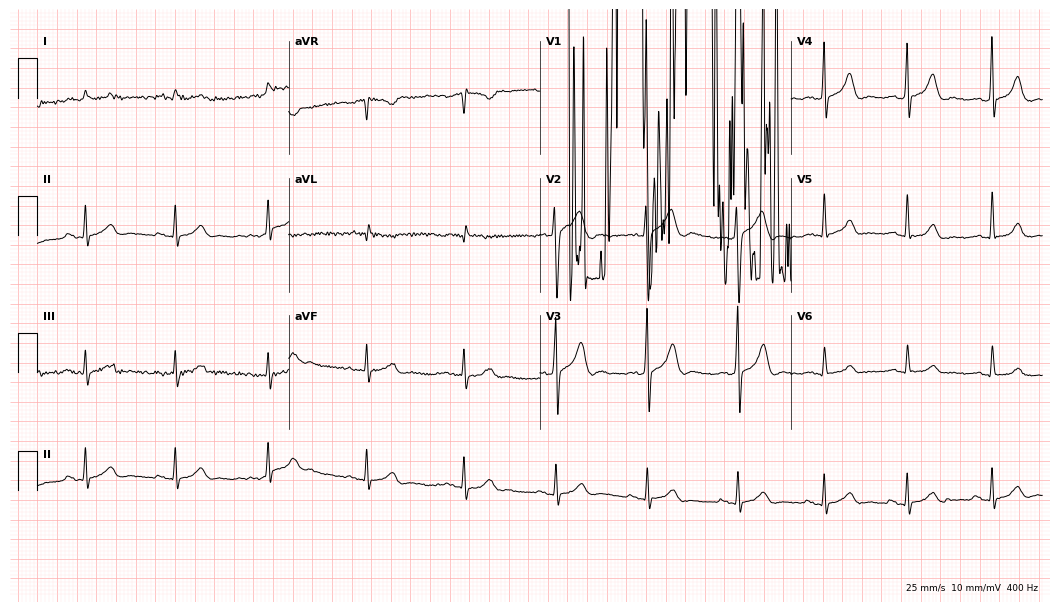
Standard 12-lead ECG recorded from a male patient, 28 years old. None of these six findings is recorded: first-degree AV block, right bundle branch block (RBBB), left bundle branch block (LBBB), sinus bradycardia, atrial fibrillation (AF), sinus tachycardia.